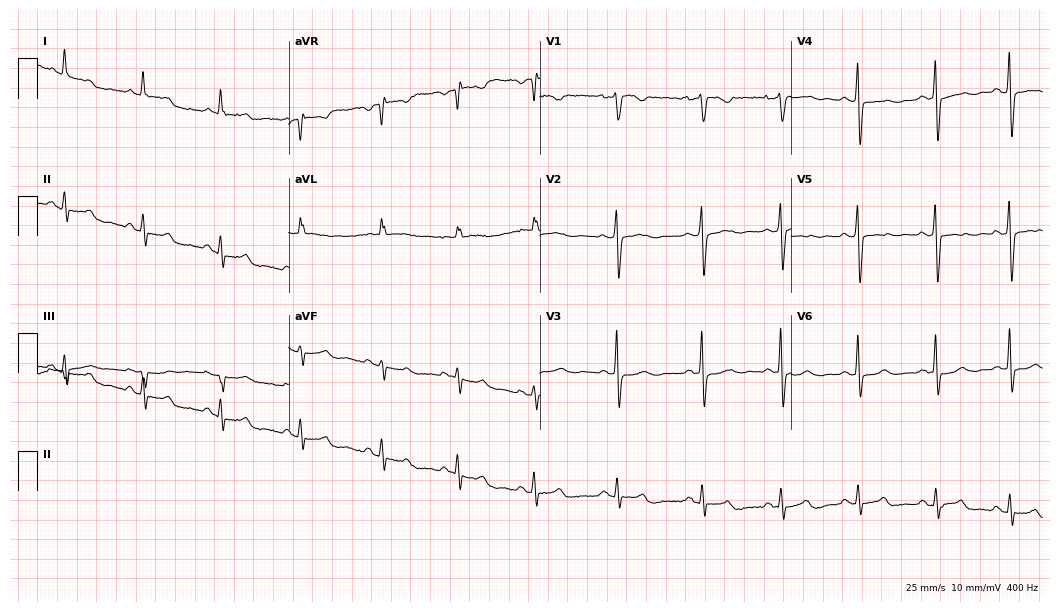
Standard 12-lead ECG recorded from a female patient, 46 years old (10.2-second recording at 400 Hz). None of these six findings is recorded: first-degree AV block, right bundle branch block, left bundle branch block, sinus bradycardia, atrial fibrillation, sinus tachycardia. Findings outside these six are not listed.